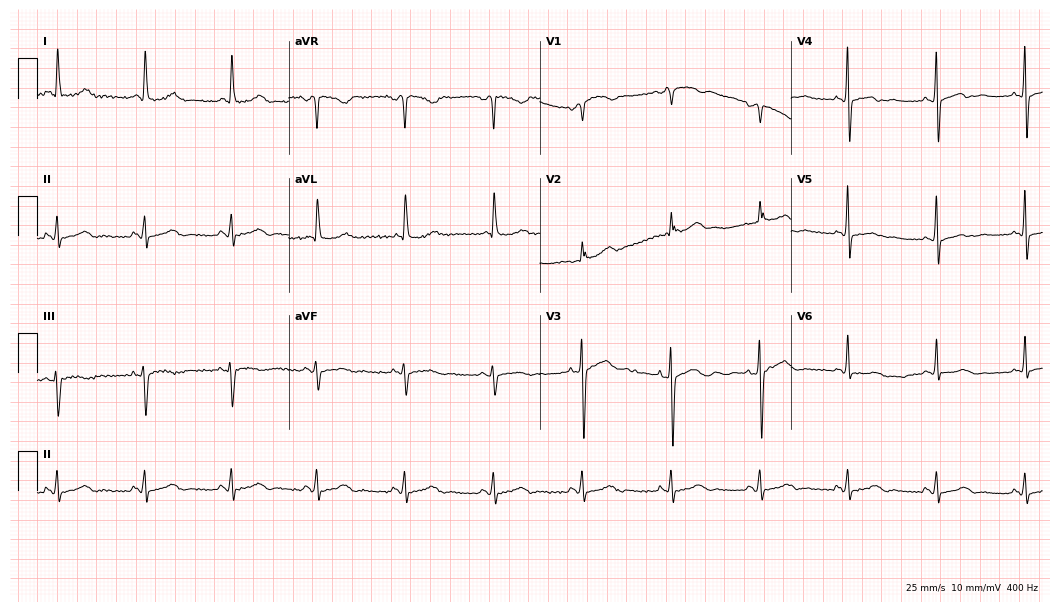
Electrocardiogram, a 62-year-old female. Of the six screened findings (first-degree AV block, right bundle branch block (RBBB), left bundle branch block (LBBB), sinus bradycardia, atrial fibrillation (AF), sinus tachycardia), none is recorded. Other findings, if any, are not listed.